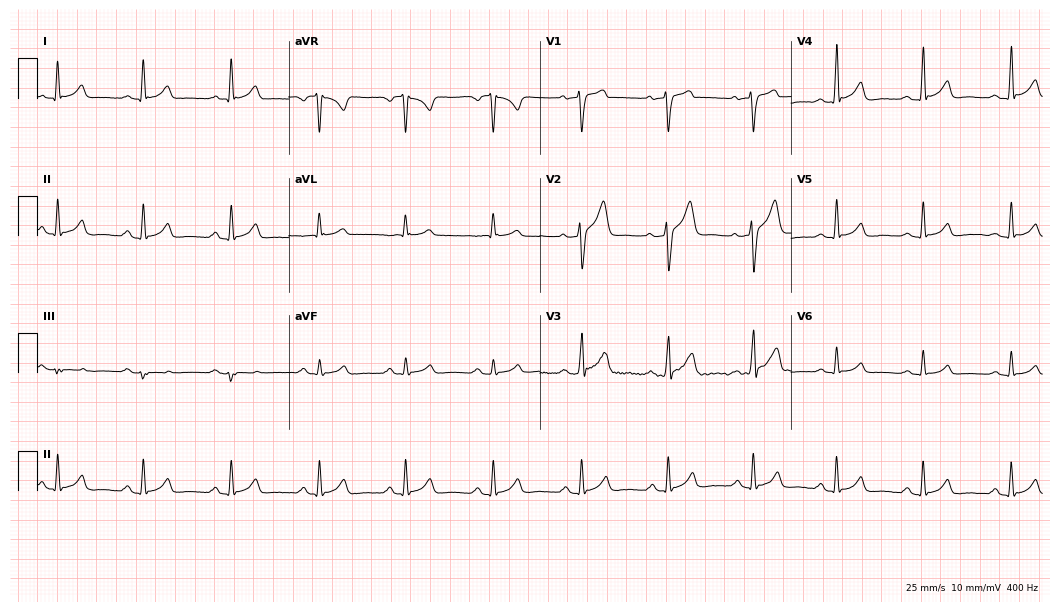
Standard 12-lead ECG recorded from a female patient, 40 years old. Read as a normal ECG.